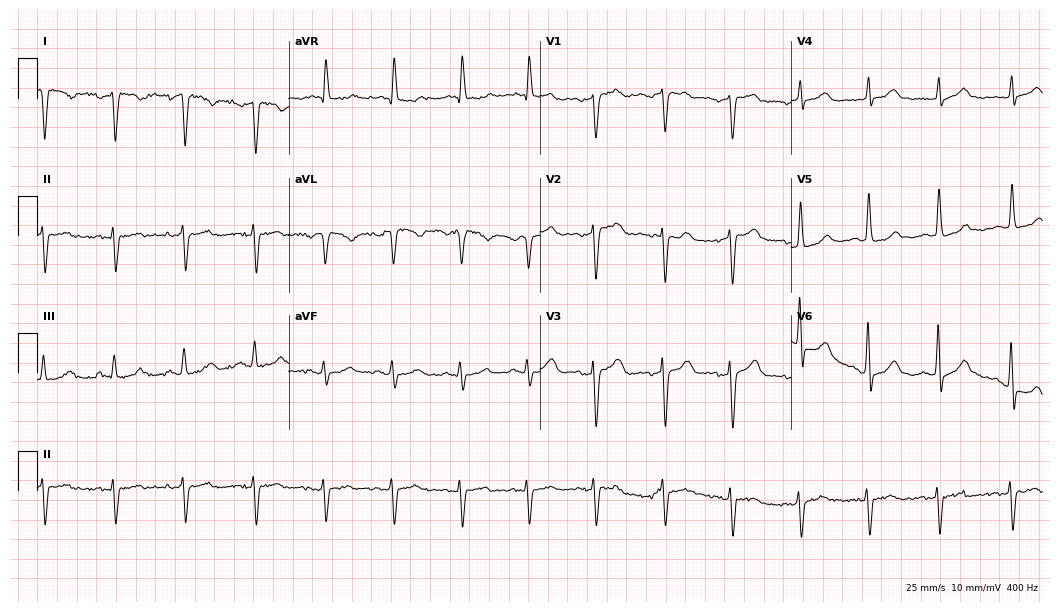
12-lead ECG (10.2-second recording at 400 Hz) from a 71-year-old female patient. Screened for six findings — first-degree AV block, right bundle branch block (RBBB), left bundle branch block (LBBB), sinus bradycardia, atrial fibrillation (AF), sinus tachycardia — none is recorded.